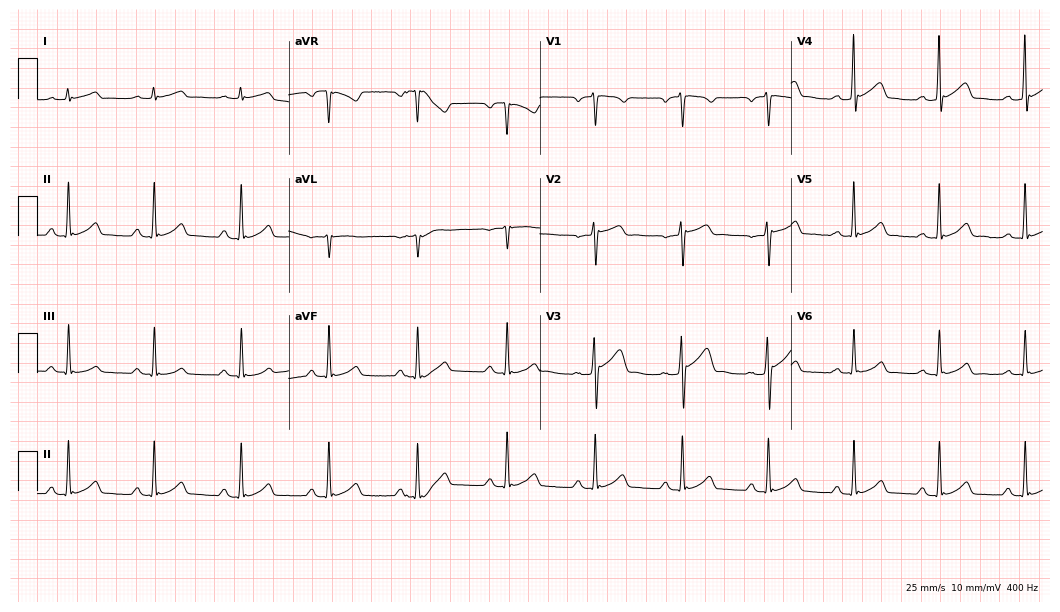
Electrocardiogram (10.2-second recording at 400 Hz), a man, 54 years old. Overall reading on record: normal ECG.